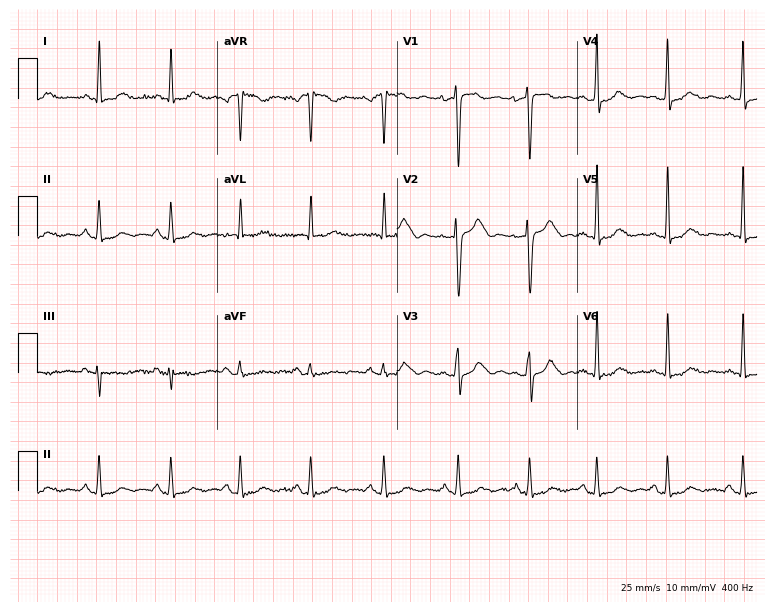
Standard 12-lead ECG recorded from a woman, 43 years old (7.3-second recording at 400 Hz). None of these six findings is recorded: first-degree AV block, right bundle branch block (RBBB), left bundle branch block (LBBB), sinus bradycardia, atrial fibrillation (AF), sinus tachycardia.